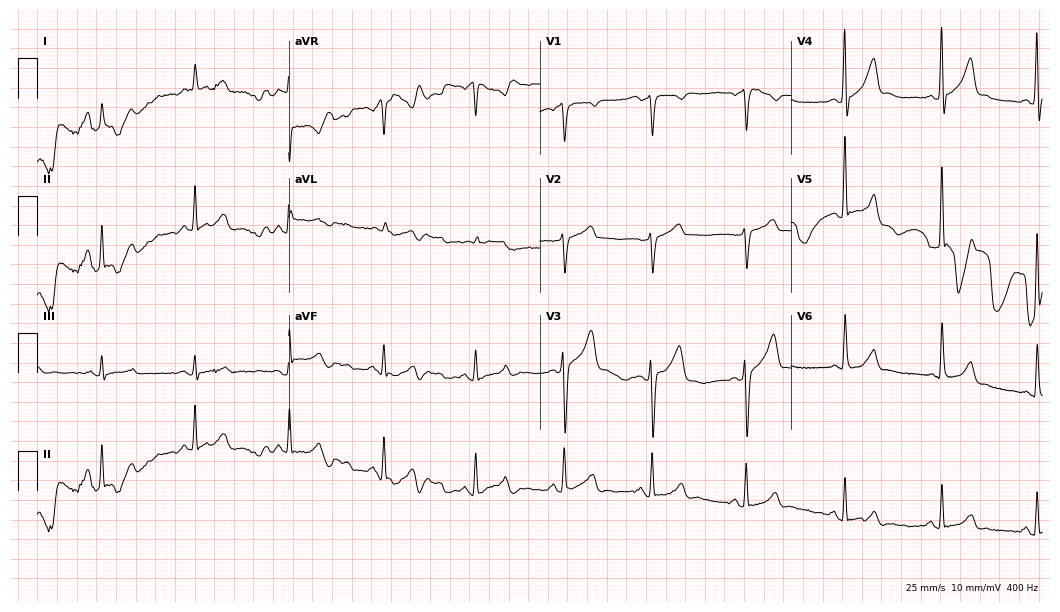
12-lead ECG from a 49-year-old male. Screened for six findings — first-degree AV block, right bundle branch block (RBBB), left bundle branch block (LBBB), sinus bradycardia, atrial fibrillation (AF), sinus tachycardia — none is recorded.